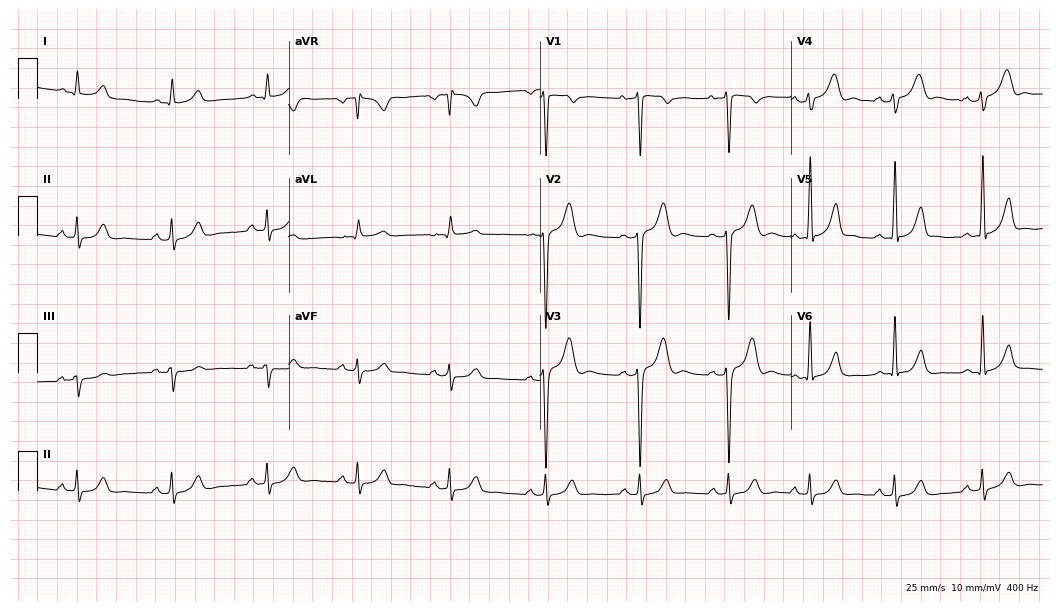
12-lead ECG from a male, 23 years old (10.2-second recording at 400 Hz). No first-degree AV block, right bundle branch block, left bundle branch block, sinus bradycardia, atrial fibrillation or sinus tachycardia recorded for this tracing. Other findings, if any, are not listed.